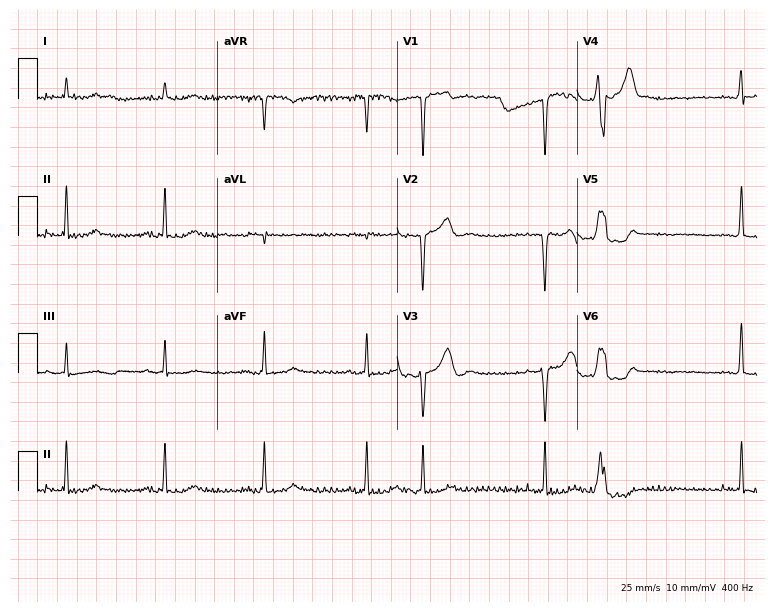
12-lead ECG (7.3-second recording at 400 Hz) from an 85-year-old male. Screened for six findings — first-degree AV block, right bundle branch block (RBBB), left bundle branch block (LBBB), sinus bradycardia, atrial fibrillation (AF), sinus tachycardia — none is recorded. Findings outside these six are not listed.